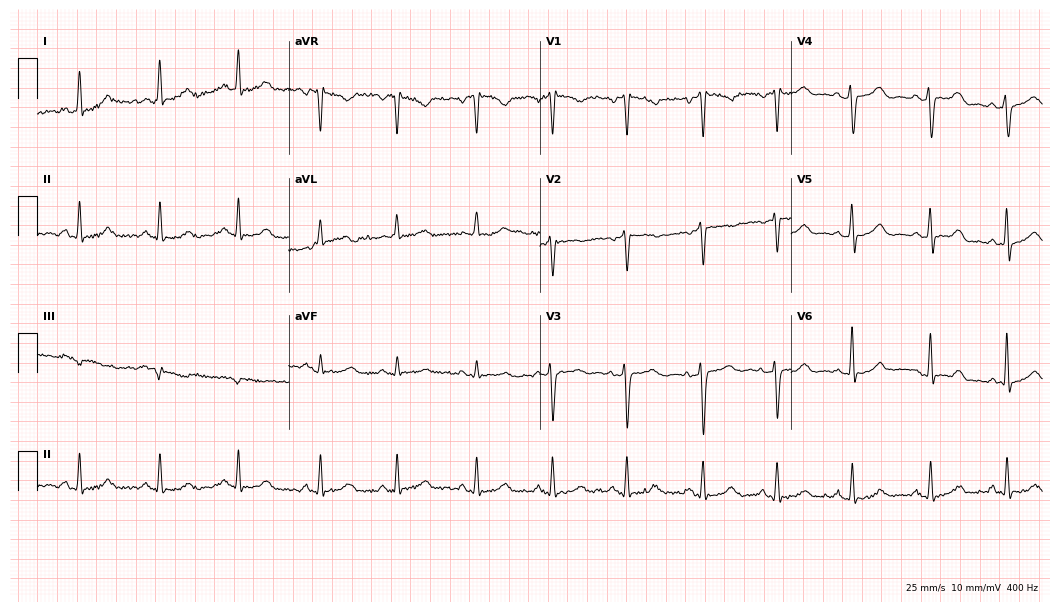
ECG — a female patient, 34 years old. Labelled as a normal ECG.